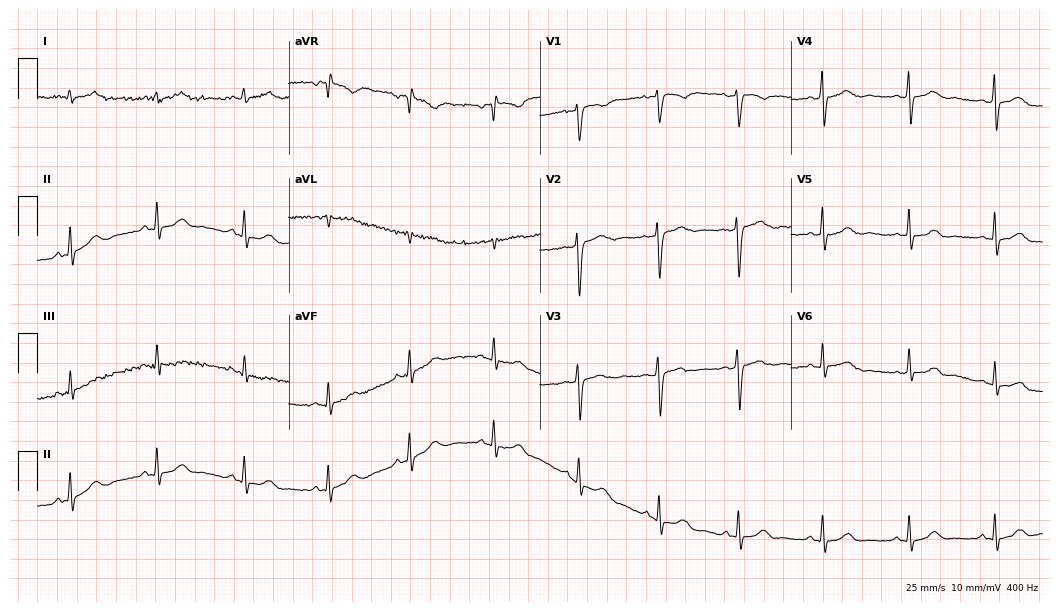
Resting 12-lead electrocardiogram (10.2-second recording at 400 Hz). Patient: a 30-year-old woman. Read as a normal ECG.